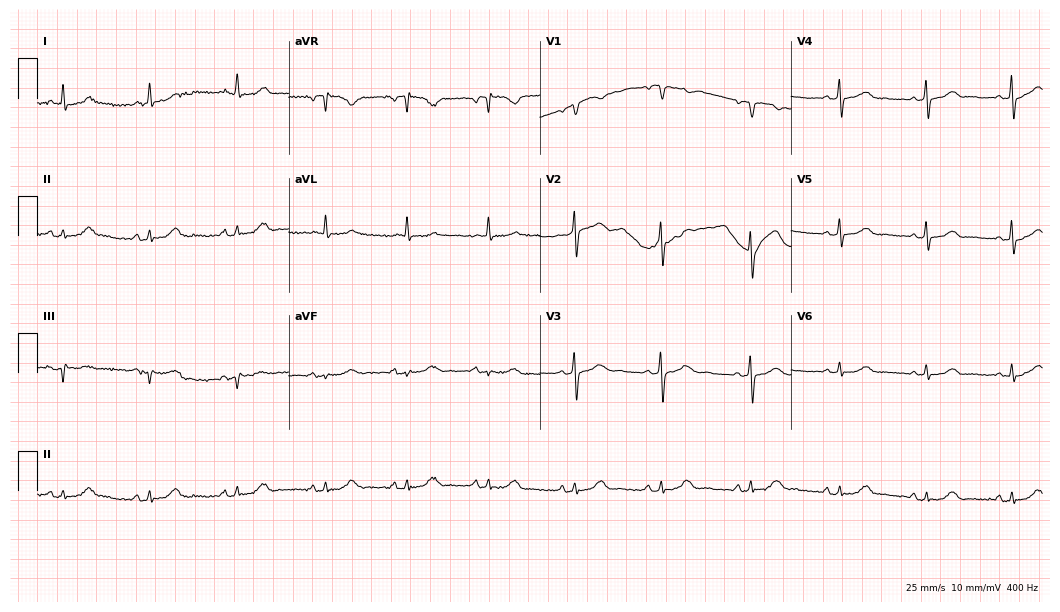
Resting 12-lead electrocardiogram. Patient: a female, 50 years old. Read as a normal ECG.